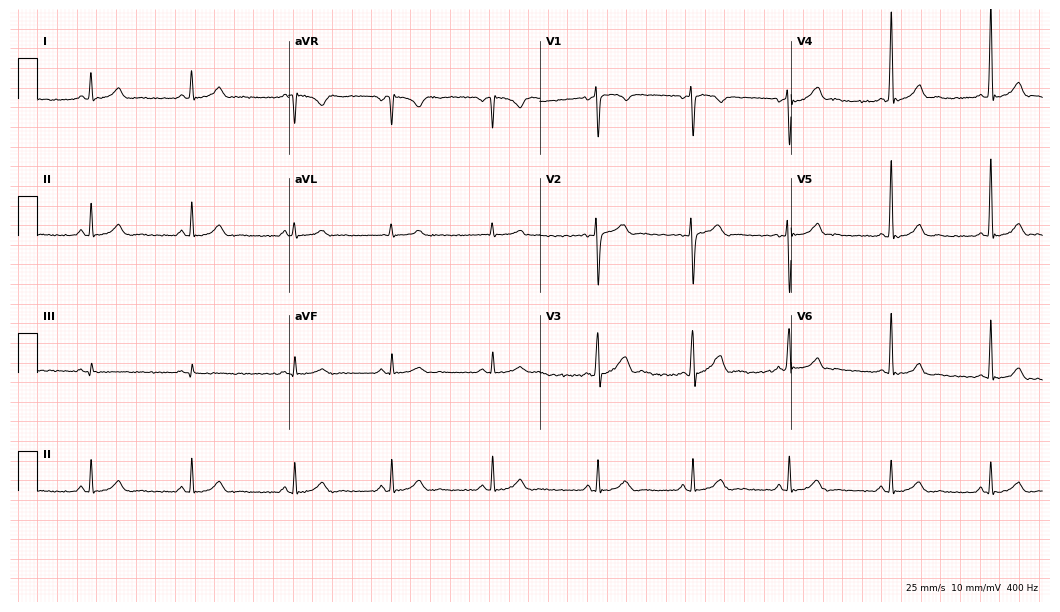
ECG — a male patient, 21 years old. Labelled as a normal ECG.